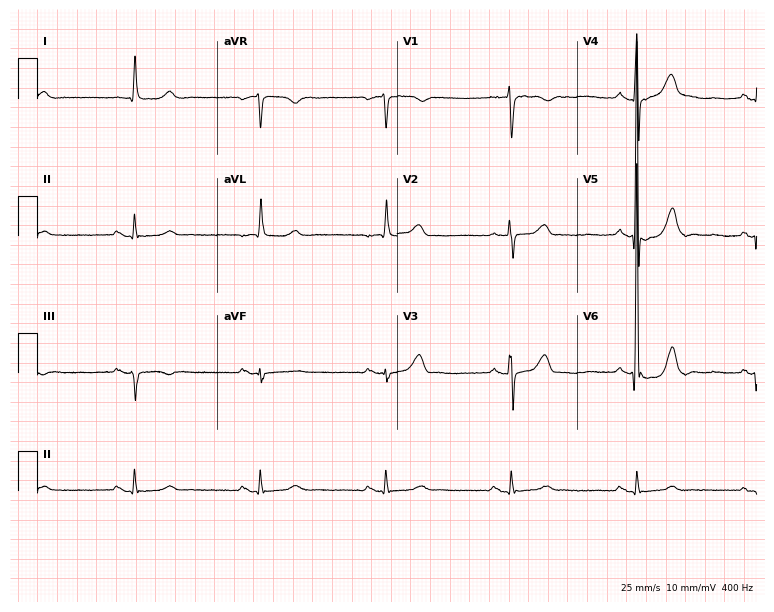
12-lead ECG (7.3-second recording at 400 Hz) from a 76-year-old man. Findings include sinus bradycardia (a sinus rate of 50 beats per minute or less).